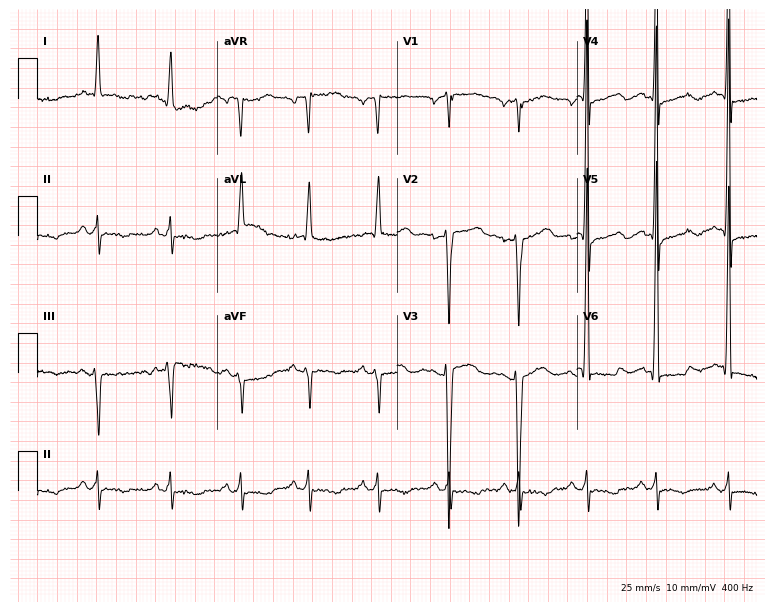
Electrocardiogram (7.3-second recording at 400 Hz), a male, 76 years old. Of the six screened findings (first-degree AV block, right bundle branch block, left bundle branch block, sinus bradycardia, atrial fibrillation, sinus tachycardia), none is recorded. Other findings, if any, are not listed.